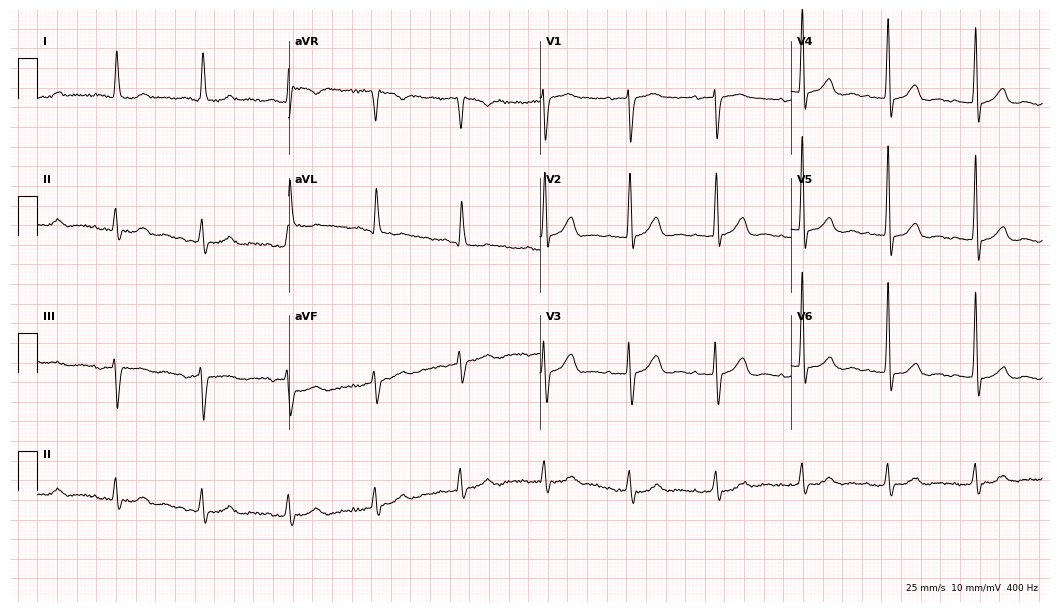
ECG (10.2-second recording at 400 Hz) — an 85-year-old female. Labelled as a normal ECG.